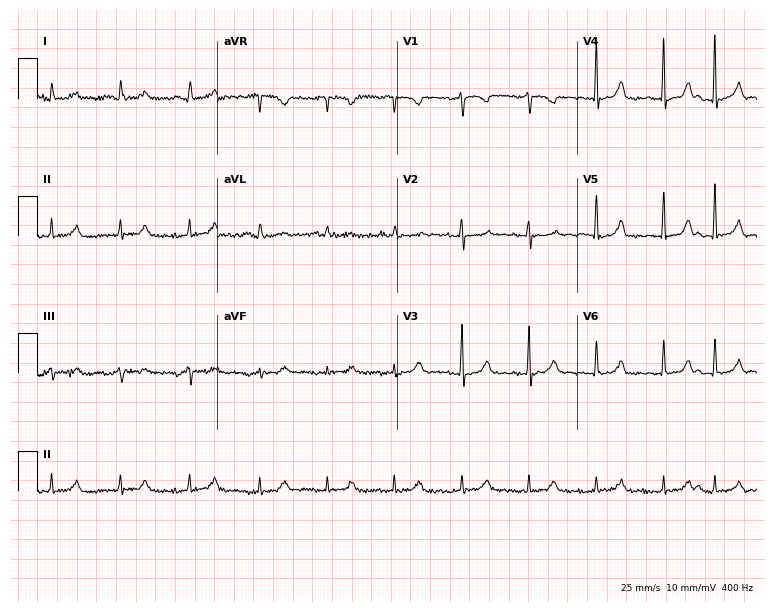
Resting 12-lead electrocardiogram (7.3-second recording at 400 Hz). Patient: a 54-year-old woman. None of these six findings is recorded: first-degree AV block, right bundle branch block (RBBB), left bundle branch block (LBBB), sinus bradycardia, atrial fibrillation (AF), sinus tachycardia. Other findings, if any, are not listed.